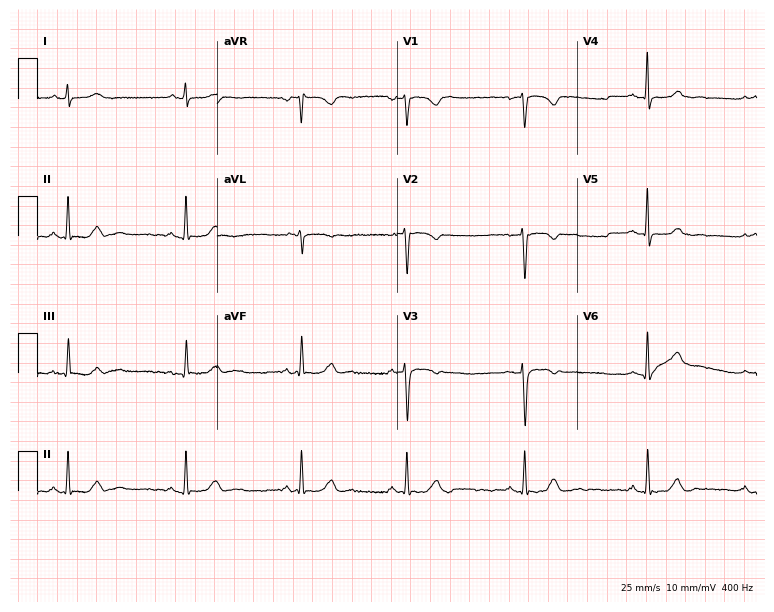
Standard 12-lead ECG recorded from a 27-year-old woman. Read as a normal ECG.